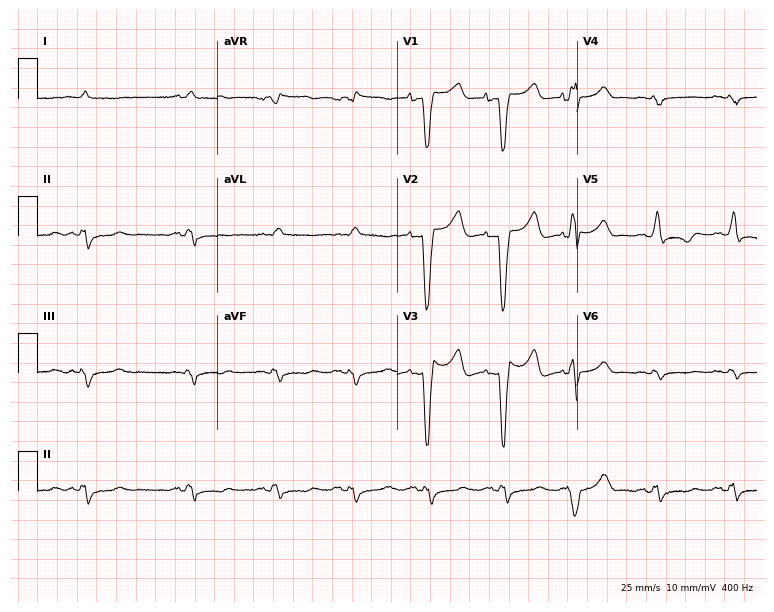
Resting 12-lead electrocardiogram. Patient: a female, 55 years old. None of these six findings is recorded: first-degree AV block, right bundle branch block, left bundle branch block, sinus bradycardia, atrial fibrillation, sinus tachycardia. Only these six findings were labelled.